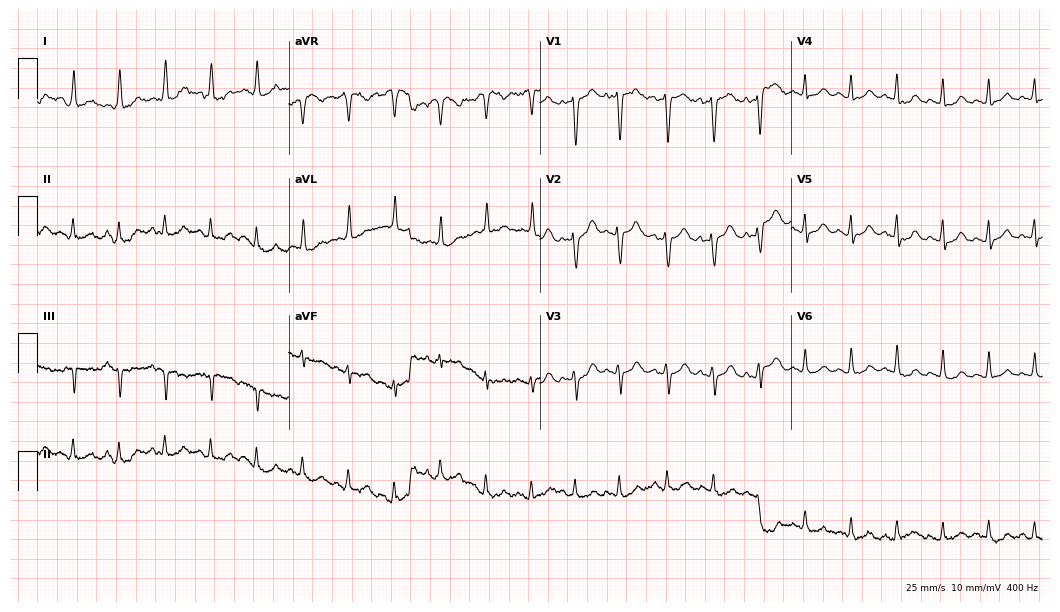
Resting 12-lead electrocardiogram (10.2-second recording at 400 Hz). Patient: a 61-year-old female. The tracing shows sinus tachycardia (a sinus rate of 100 beats per minute or more).